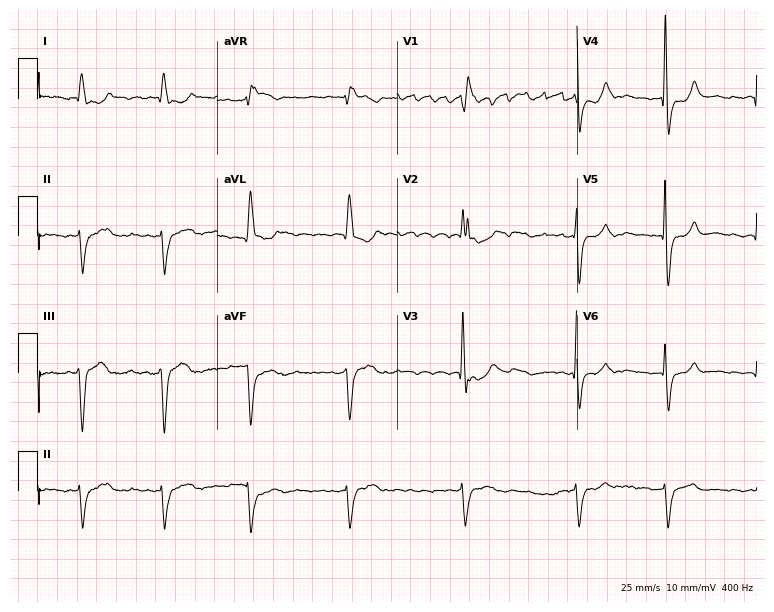
Electrocardiogram (7.3-second recording at 400 Hz), a 75-year-old female patient. Interpretation includes right bundle branch block (RBBB), atrial fibrillation (AF).